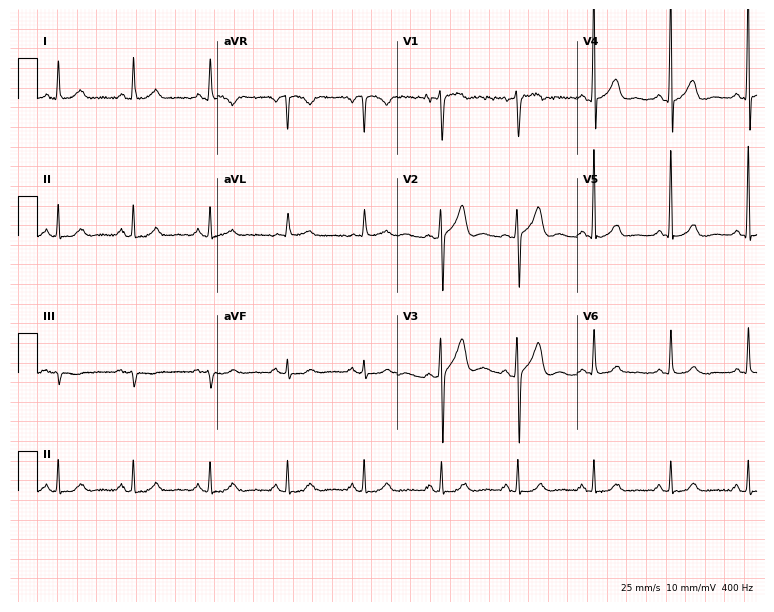
ECG — a male, 58 years old. Labelled as a normal ECG.